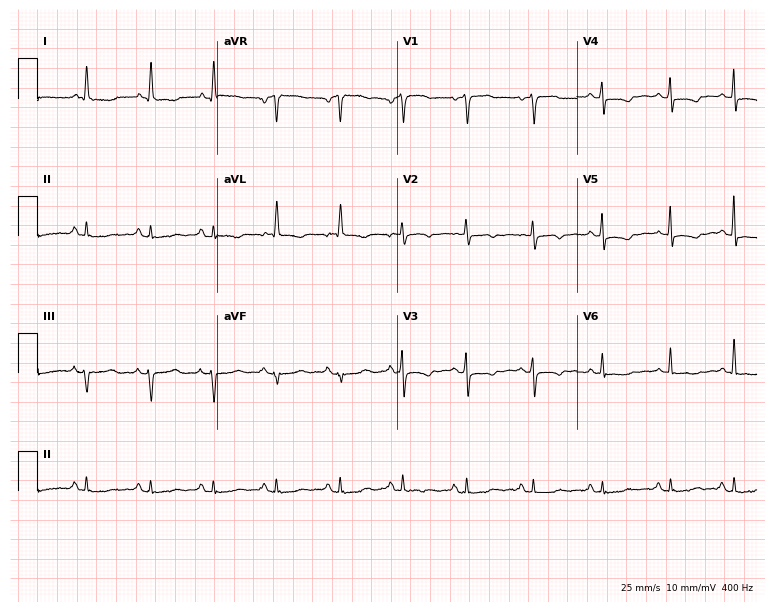
ECG — a female patient, 51 years old. Screened for six findings — first-degree AV block, right bundle branch block, left bundle branch block, sinus bradycardia, atrial fibrillation, sinus tachycardia — none is recorded.